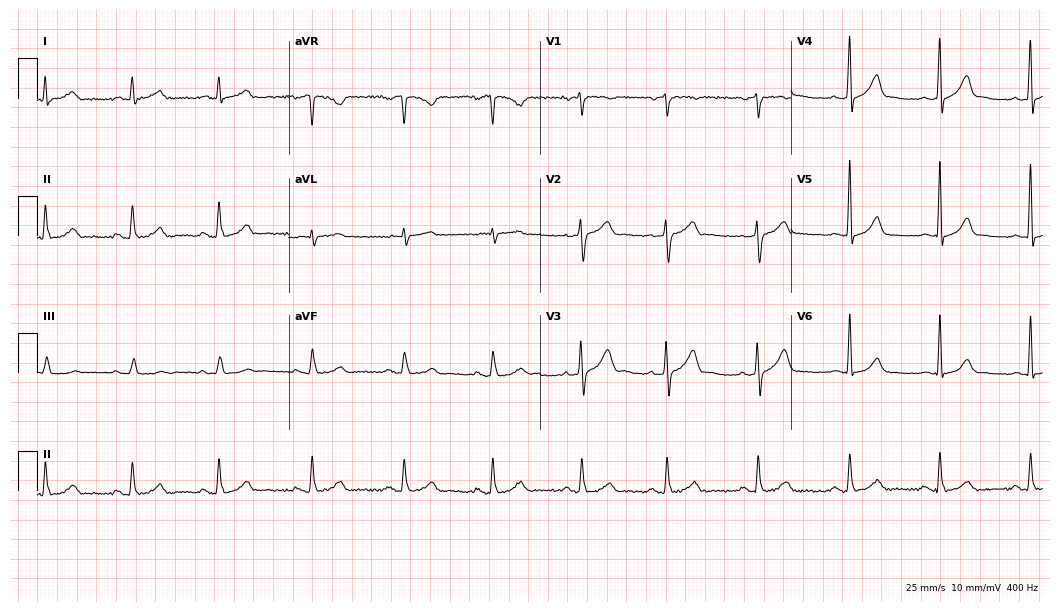
12-lead ECG from a 57-year-old man. Labelled as a normal ECG.